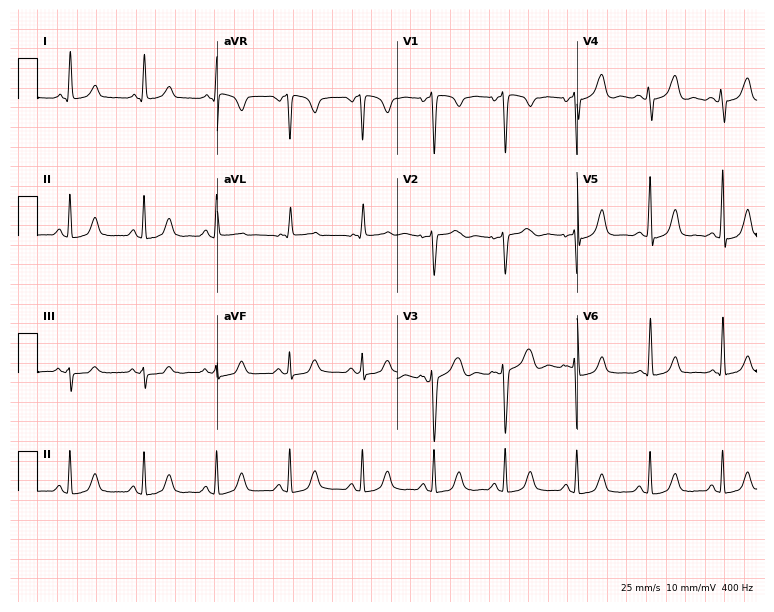
Standard 12-lead ECG recorded from a woman, 51 years old. None of these six findings is recorded: first-degree AV block, right bundle branch block (RBBB), left bundle branch block (LBBB), sinus bradycardia, atrial fibrillation (AF), sinus tachycardia. Only these six findings were labelled.